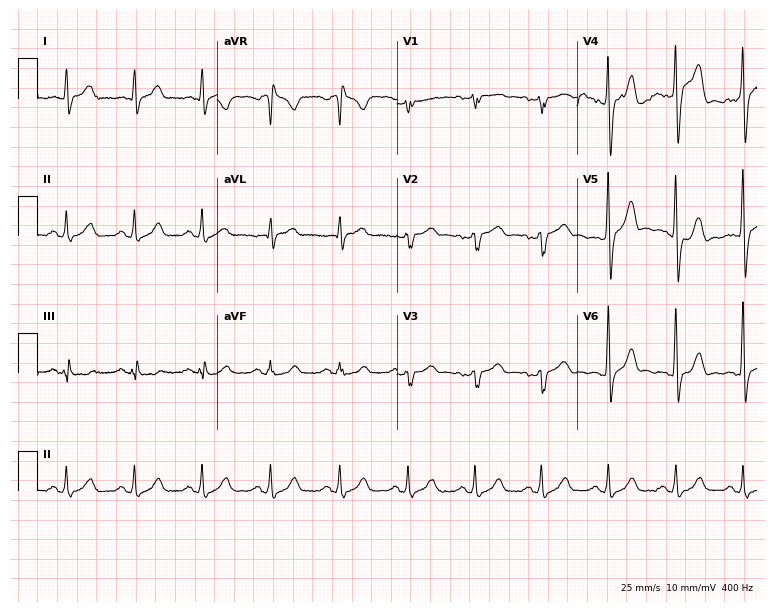
Standard 12-lead ECG recorded from a male, 44 years old (7.3-second recording at 400 Hz). Read as a normal ECG.